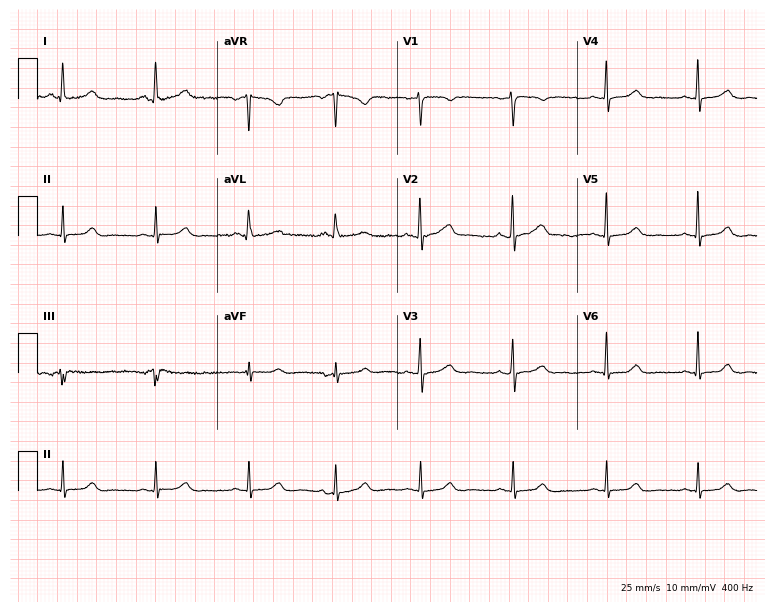
12-lead ECG (7.3-second recording at 400 Hz) from a female patient, 34 years old. Labelled as a normal ECG.